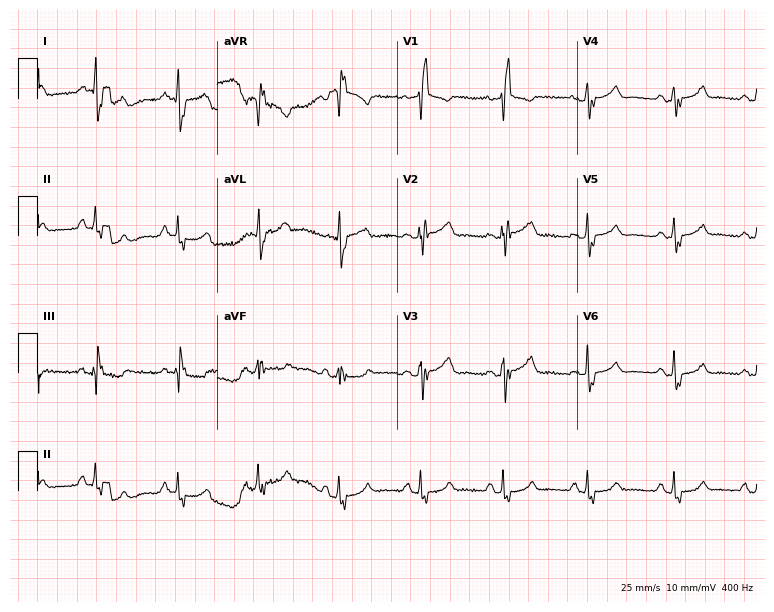
12-lead ECG from a woman, 62 years old (7.3-second recording at 400 Hz). Shows right bundle branch block.